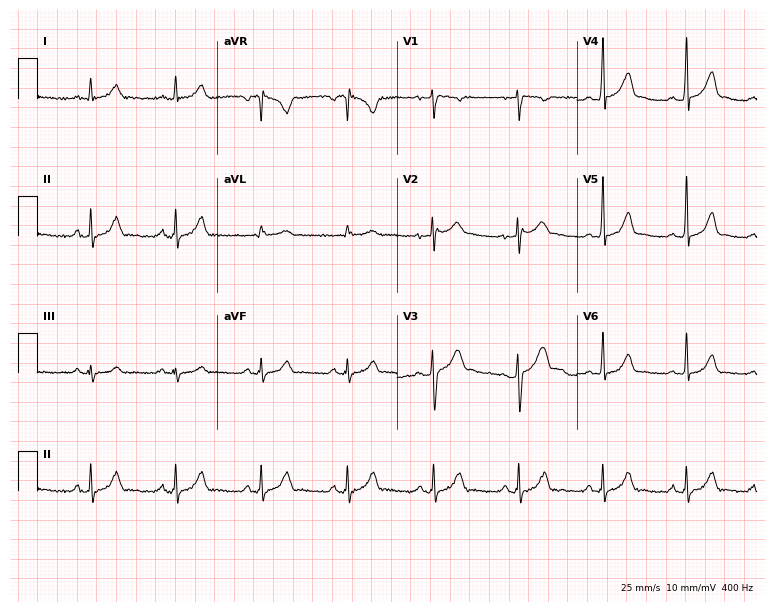
Resting 12-lead electrocardiogram (7.3-second recording at 400 Hz). Patient: a male, 40 years old. Read as a normal ECG.